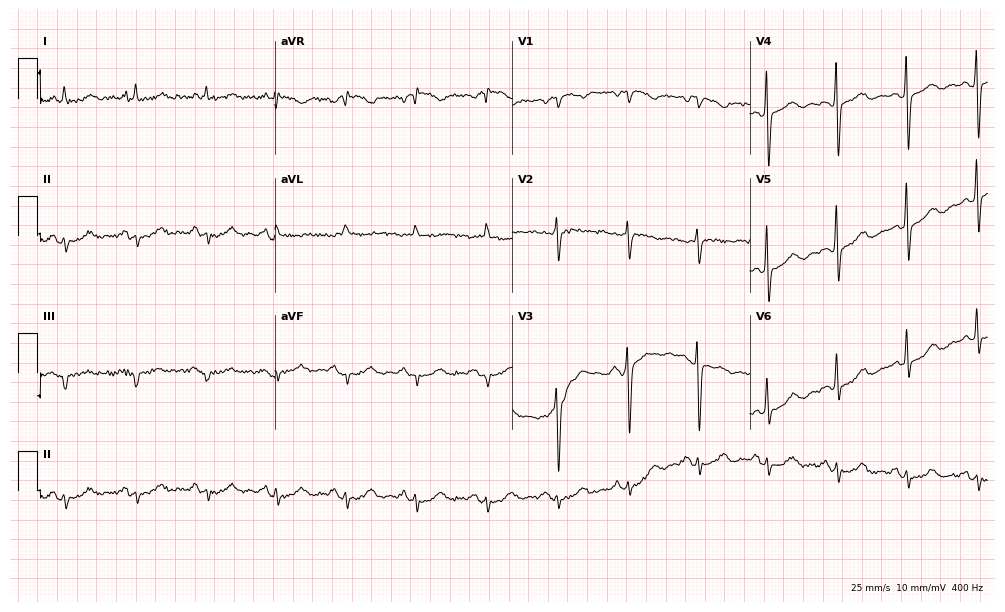
Resting 12-lead electrocardiogram (9.7-second recording at 400 Hz). Patient: a male, 63 years old. None of these six findings is recorded: first-degree AV block, right bundle branch block, left bundle branch block, sinus bradycardia, atrial fibrillation, sinus tachycardia. Only these six findings were labelled.